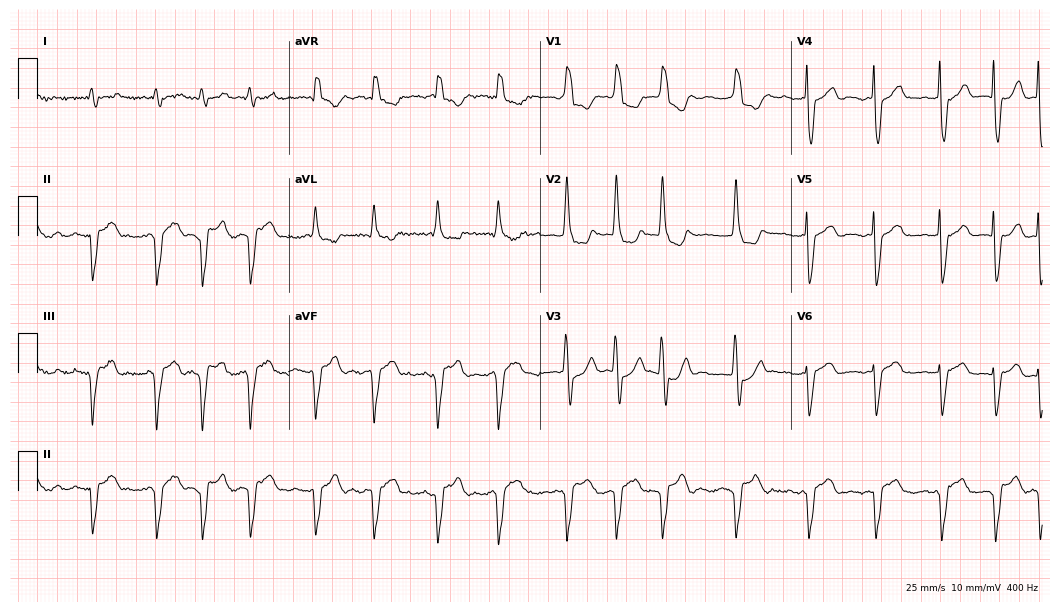
Electrocardiogram, an 82-year-old male patient. Interpretation includes right bundle branch block (RBBB), atrial fibrillation (AF).